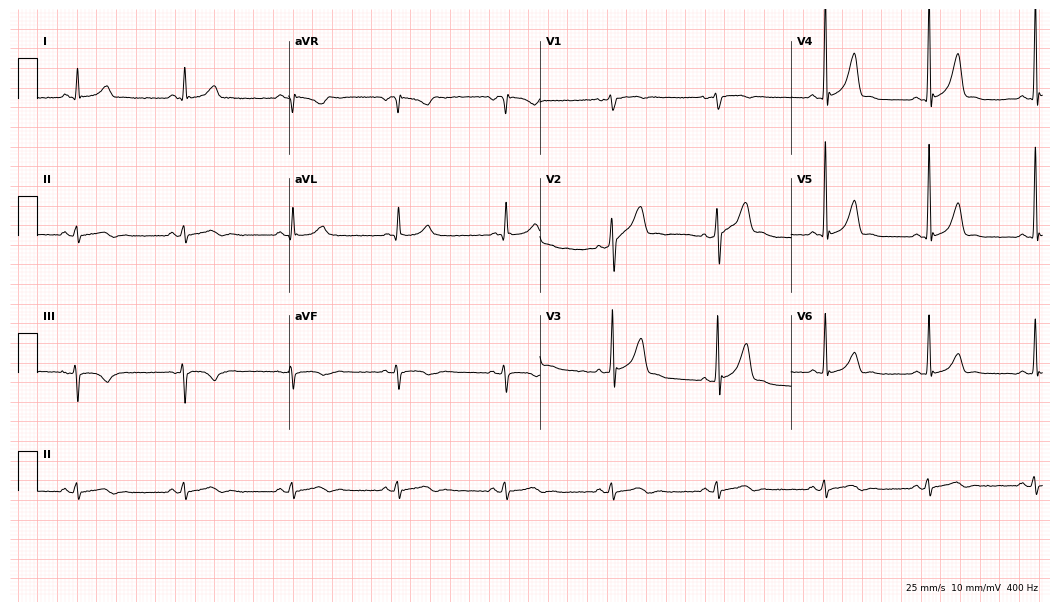
Standard 12-lead ECG recorded from a male, 36 years old. Read as a normal ECG.